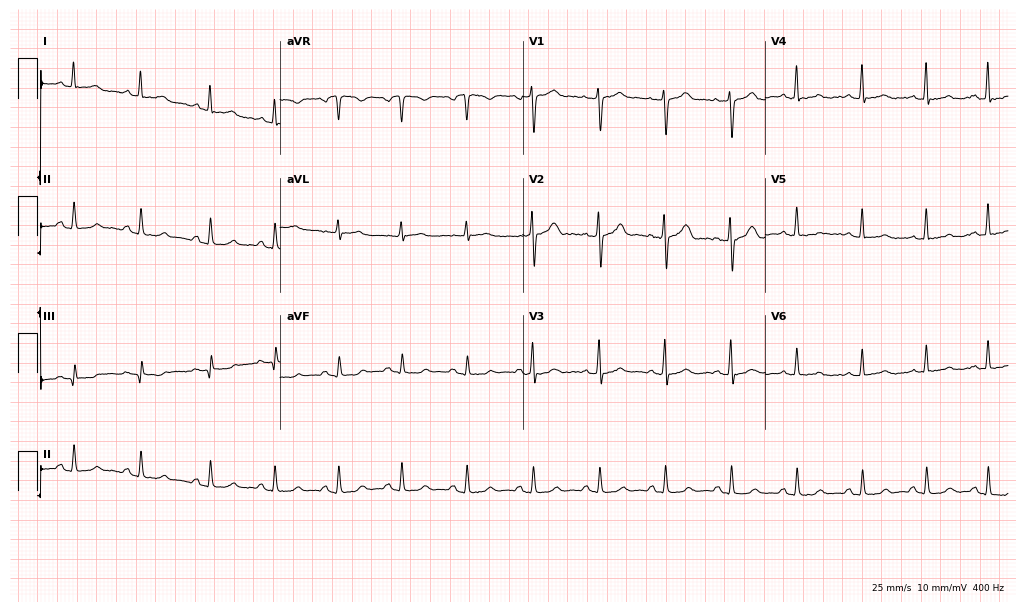
12-lead ECG from a female, 40 years old. Recorded interpretation: within normal limits.